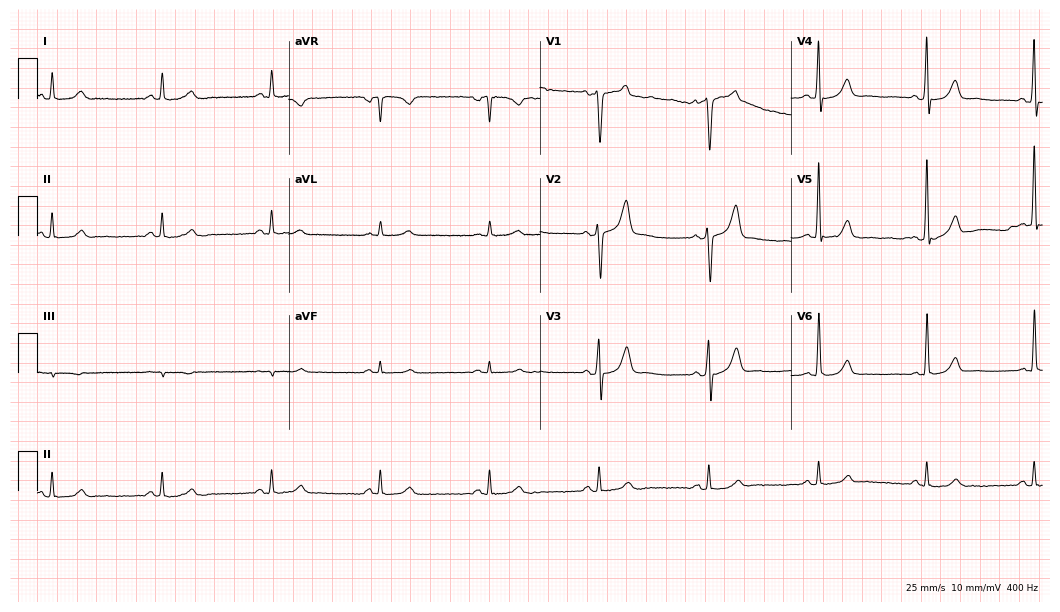
12-lead ECG from a male patient, 66 years old. Labelled as a normal ECG.